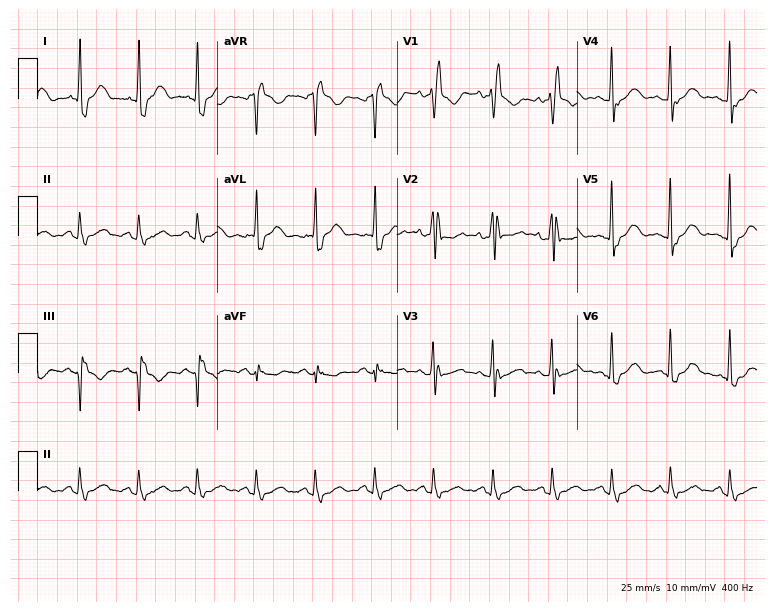
Electrocardiogram (7.3-second recording at 400 Hz), a 71-year-old female patient. Interpretation includes right bundle branch block (RBBB).